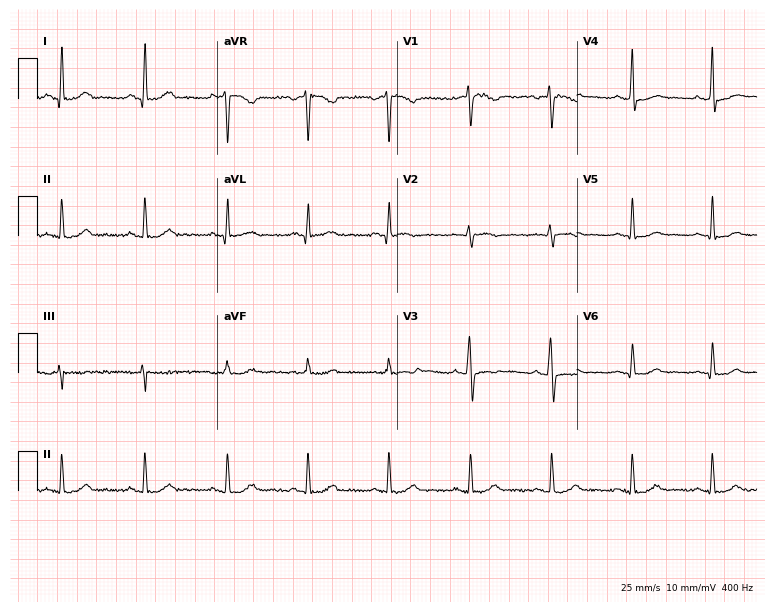
12-lead ECG (7.3-second recording at 400 Hz) from a female, 44 years old. Screened for six findings — first-degree AV block, right bundle branch block (RBBB), left bundle branch block (LBBB), sinus bradycardia, atrial fibrillation (AF), sinus tachycardia — none is recorded.